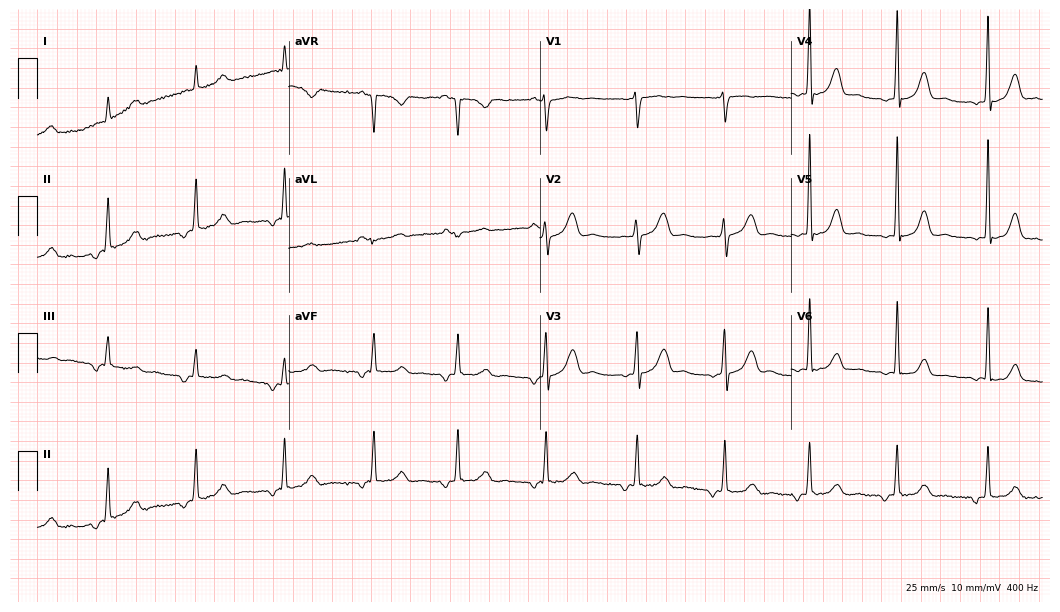
12-lead ECG from a 52-year-old female patient. Screened for six findings — first-degree AV block, right bundle branch block, left bundle branch block, sinus bradycardia, atrial fibrillation, sinus tachycardia — none is recorded. Findings outside these six are not listed.